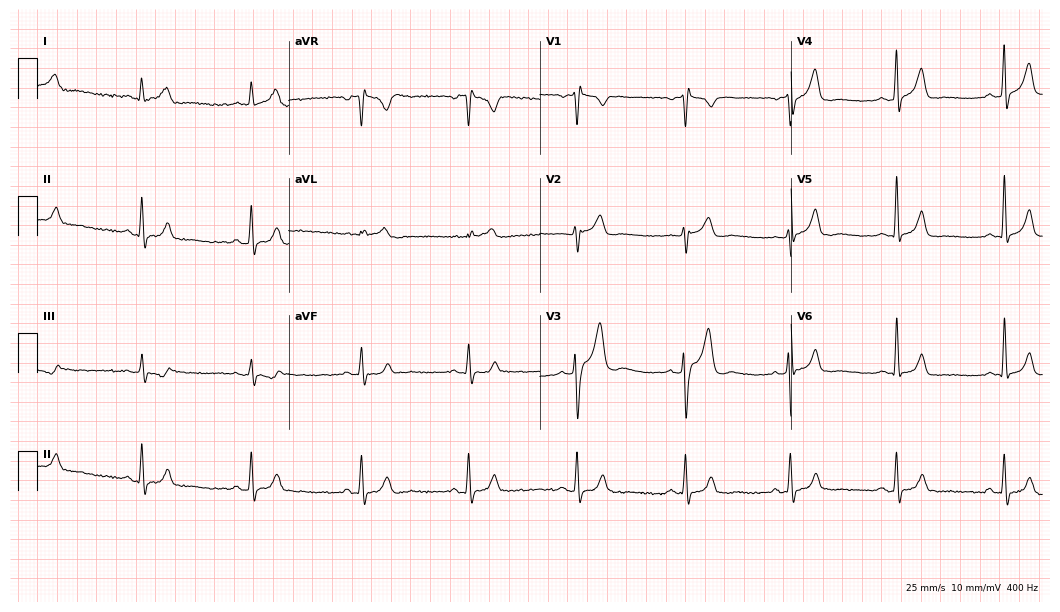
ECG (10.2-second recording at 400 Hz) — a male, 45 years old. Screened for six findings — first-degree AV block, right bundle branch block, left bundle branch block, sinus bradycardia, atrial fibrillation, sinus tachycardia — none is recorded. Only these six findings were labelled.